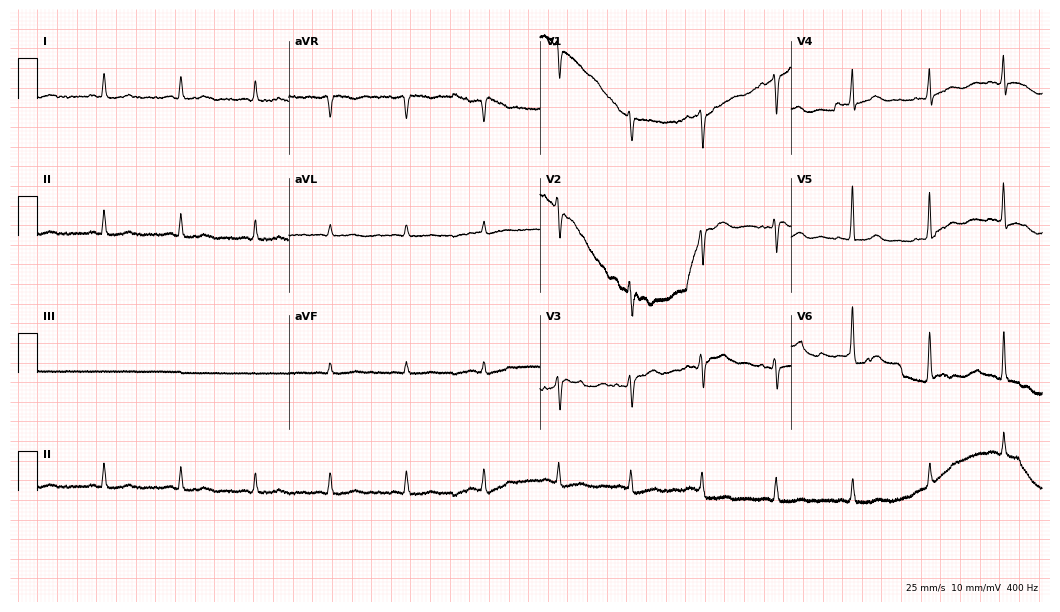
12-lead ECG from a 61-year-old female patient (10.2-second recording at 400 Hz). No first-degree AV block, right bundle branch block, left bundle branch block, sinus bradycardia, atrial fibrillation or sinus tachycardia recorded for this tracing.